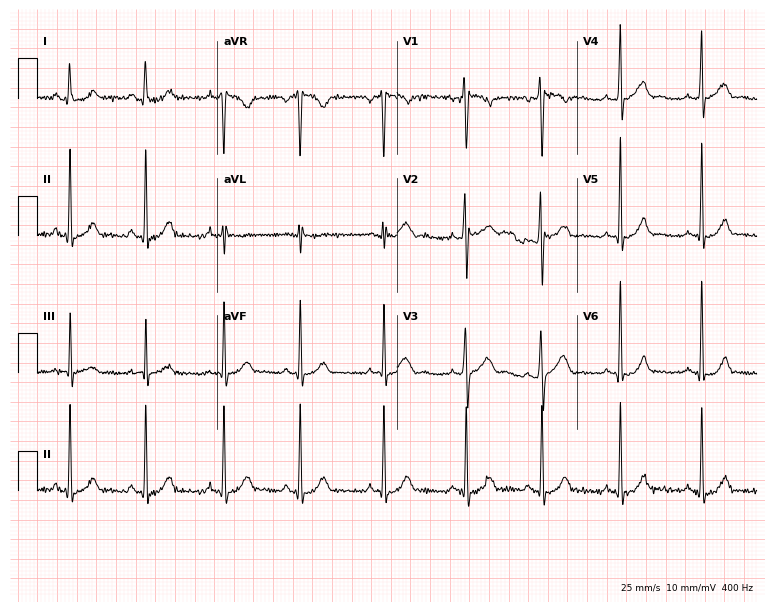
Standard 12-lead ECG recorded from a 17-year-old female patient (7.3-second recording at 400 Hz). Read as a normal ECG.